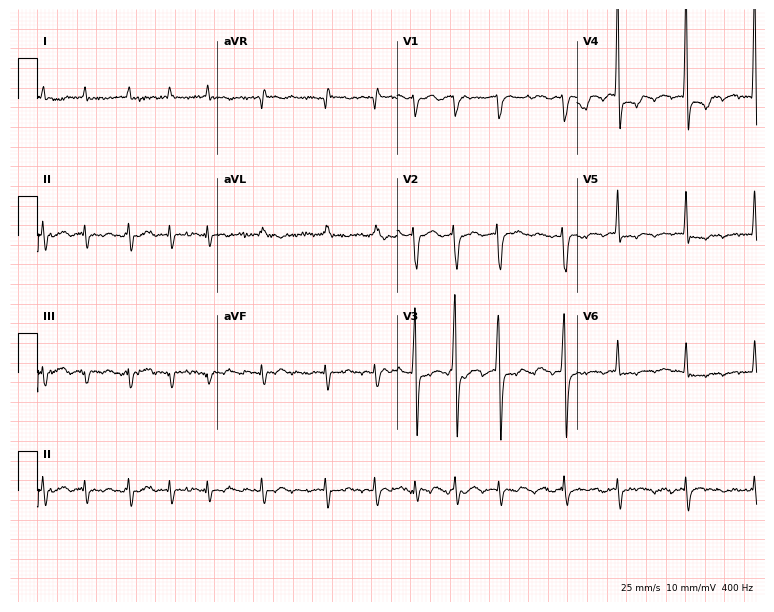
12-lead ECG from a male patient, 85 years old (7.3-second recording at 400 Hz). Shows atrial fibrillation (AF).